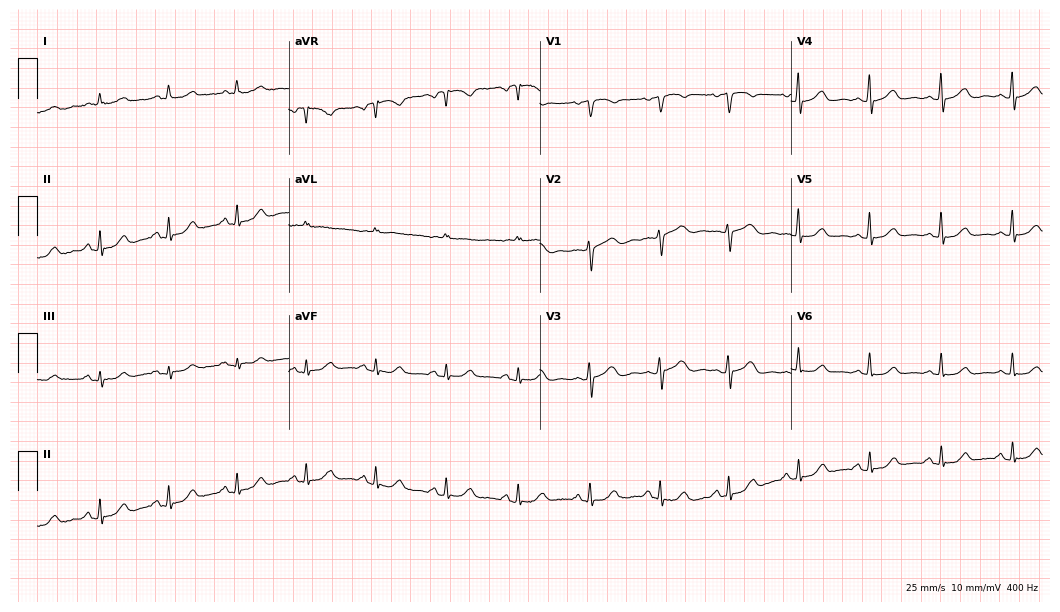
Electrocardiogram (10.2-second recording at 400 Hz), a female, 65 years old. Overall reading on record: normal ECG.